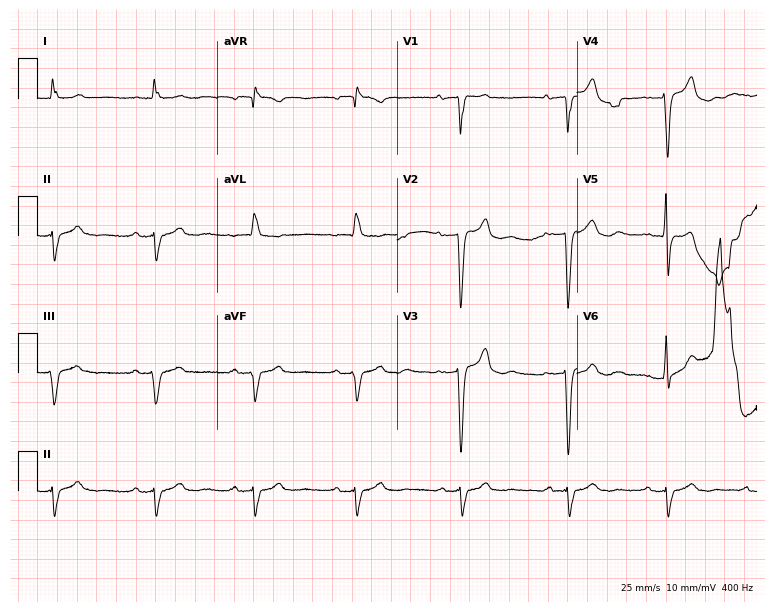
Resting 12-lead electrocardiogram. Patient: an 85-year-old man. None of these six findings is recorded: first-degree AV block, right bundle branch block, left bundle branch block, sinus bradycardia, atrial fibrillation, sinus tachycardia.